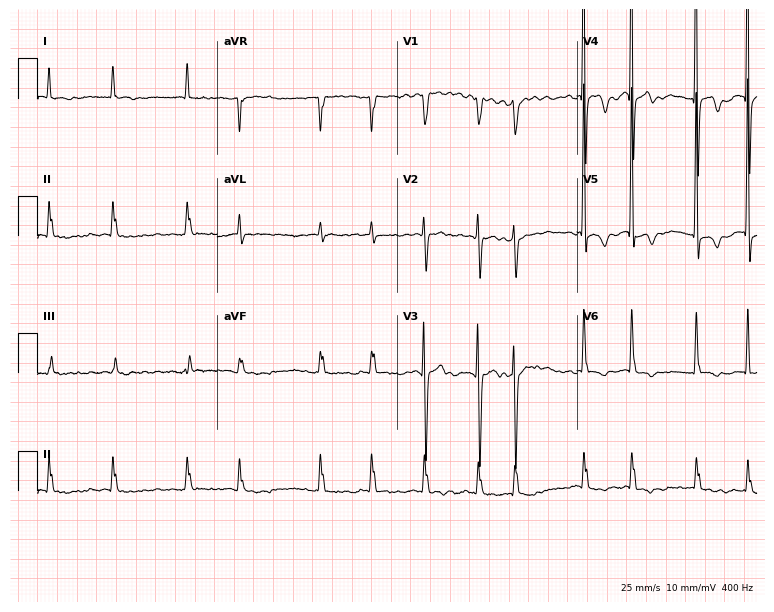
Standard 12-lead ECG recorded from an 82-year-old woman (7.3-second recording at 400 Hz). The tracing shows atrial fibrillation (AF).